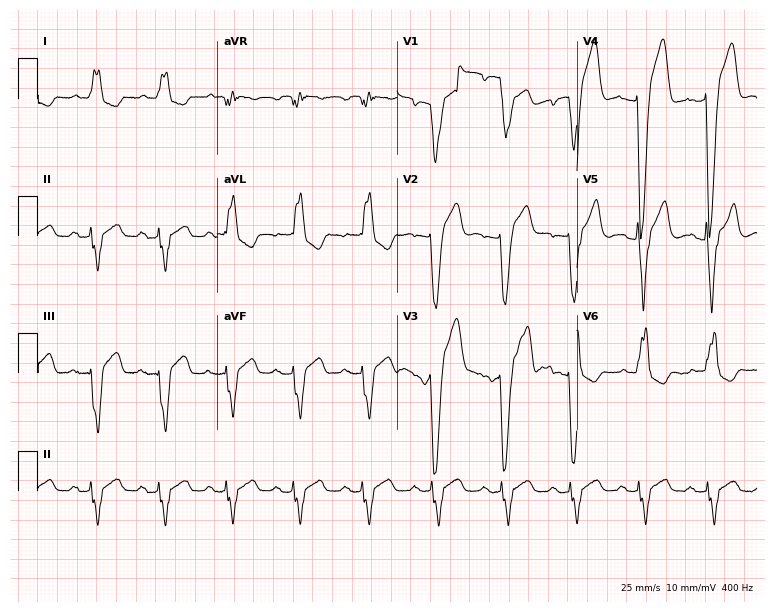
12-lead ECG from an 80-year-old male. Findings include left bundle branch block.